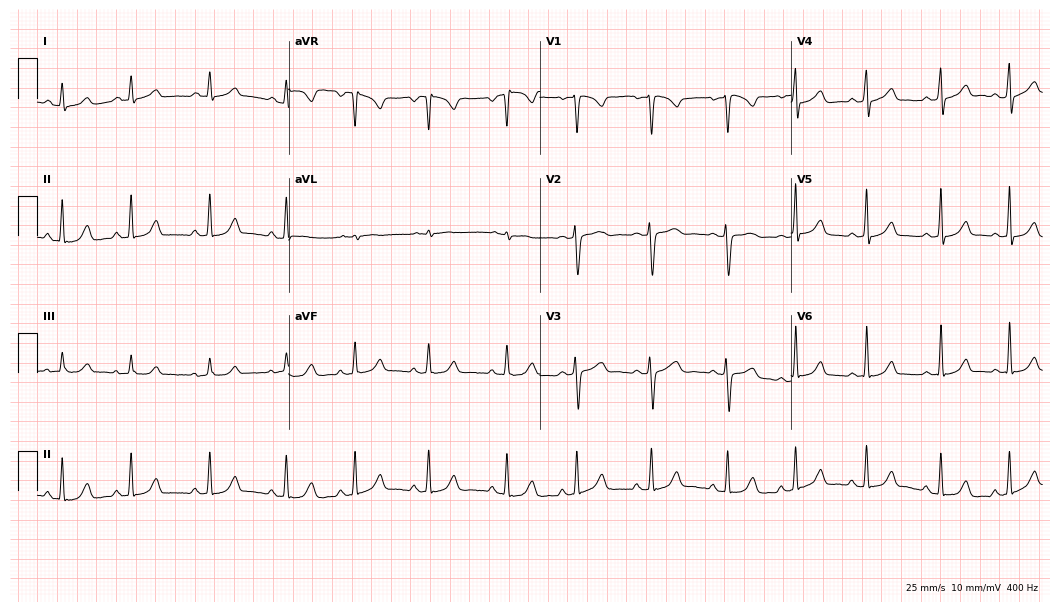
12-lead ECG (10.2-second recording at 400 Hz) from a 17-year-old woman. Labelled as a normal ECG.